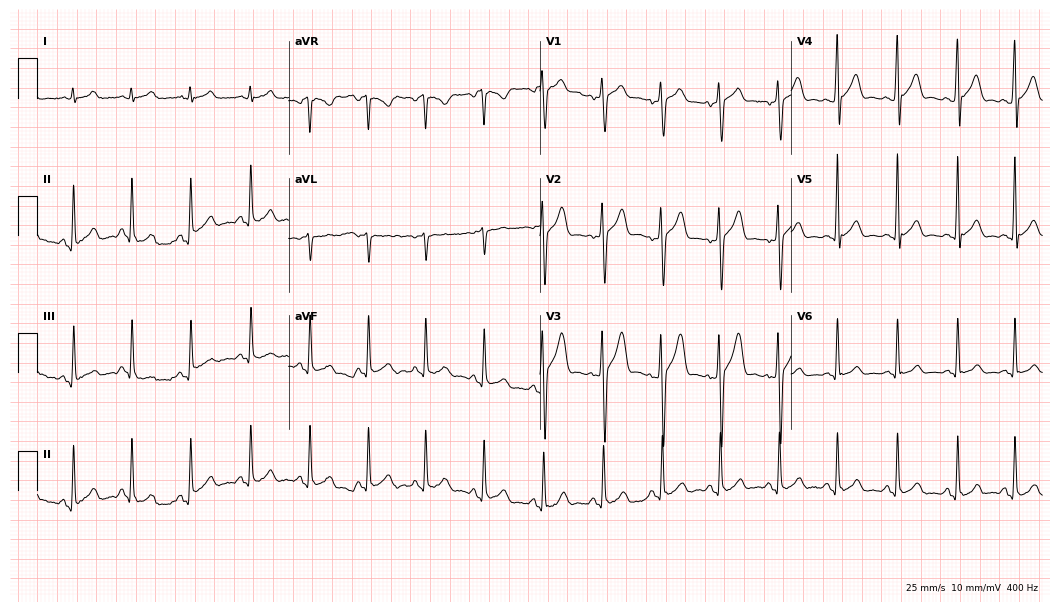
12-lead ECG (10.2-second recording at 400 Hz) from a male patient, 19 years old. Labelled as a normal ECG.